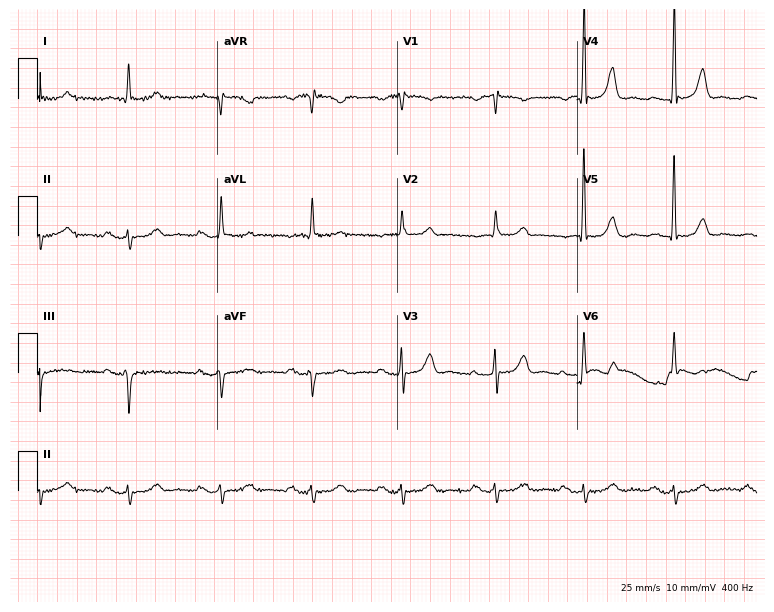
Standard 12-lead ECG recorded from a 76-year-old woman. None of these six findings is recorded: first-degree AV block, right bundle branch block, left bundle branch block, sinus bradycardia, atrial fibrillation, sinus tachycardia. Findings outside these six are not listed.